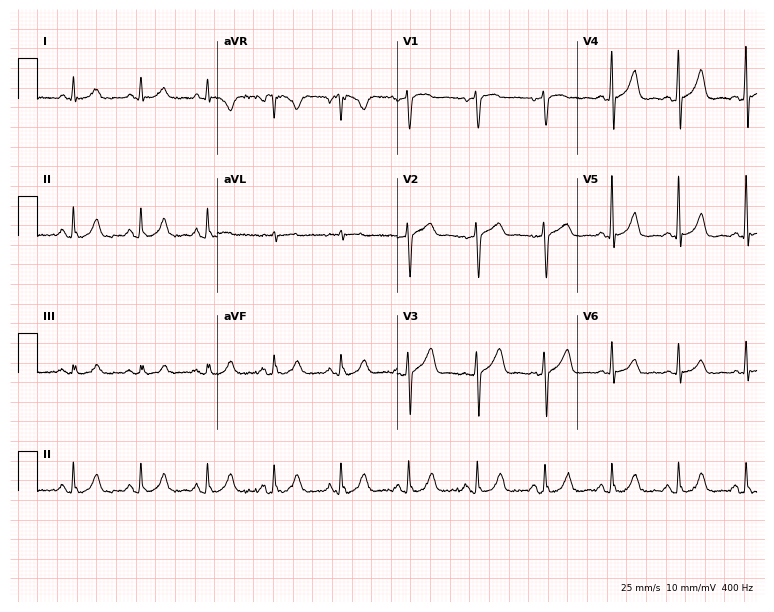
12-lead ECG from an 82-year-old male. No first-degree AV block, right bundle branch block, left bundle branch block, sinus bradycardia, atrial fibrillation or sinus tachycardia recorded for this tracing. Findings outside these six are not listed.